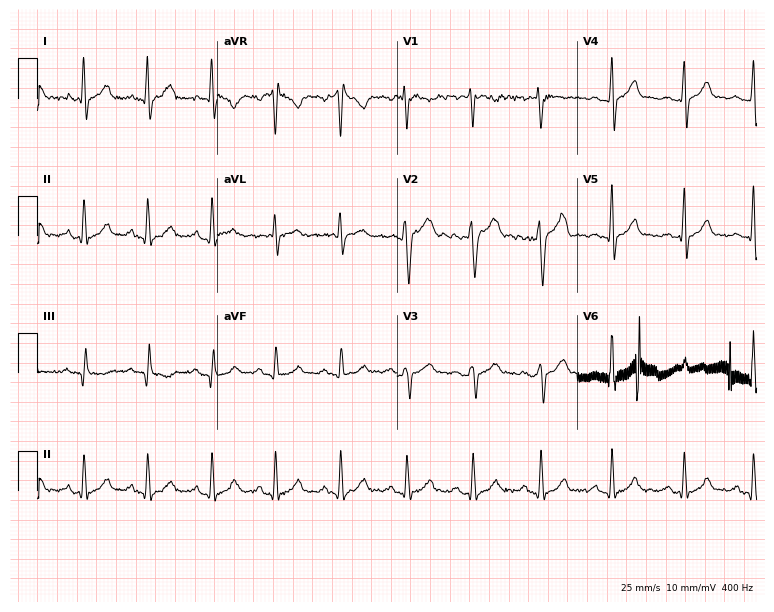
ECG (7.3-second recording at 400 Hz) — a 26-year-old man. Labelled as a normal ECG.